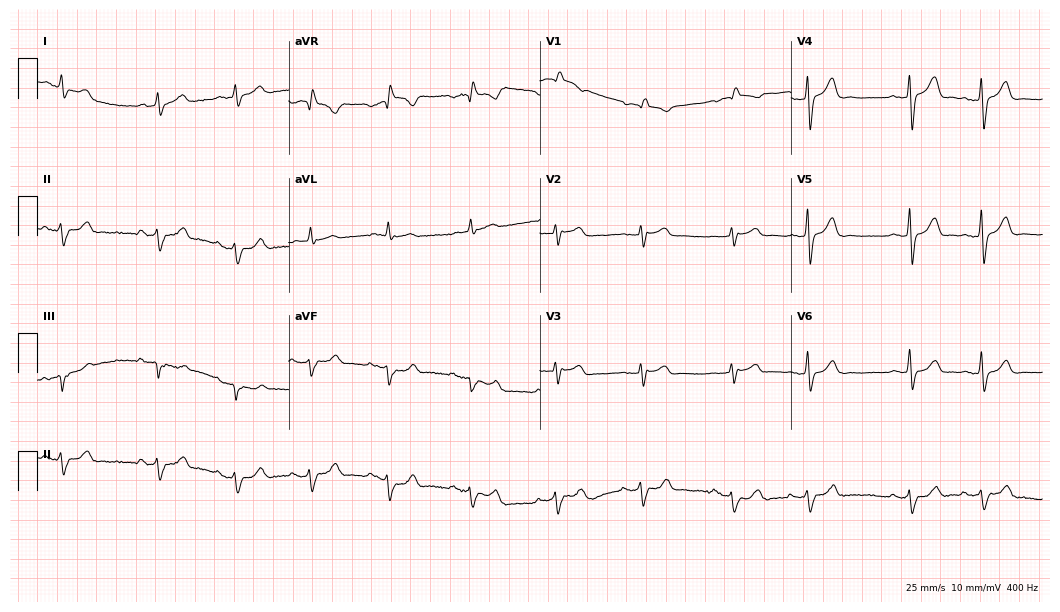
Electrocardiogram (10.2-second recording at 400 Hz), a 73-year-old female. Interpretation includes right bundle branch block (RBBB).